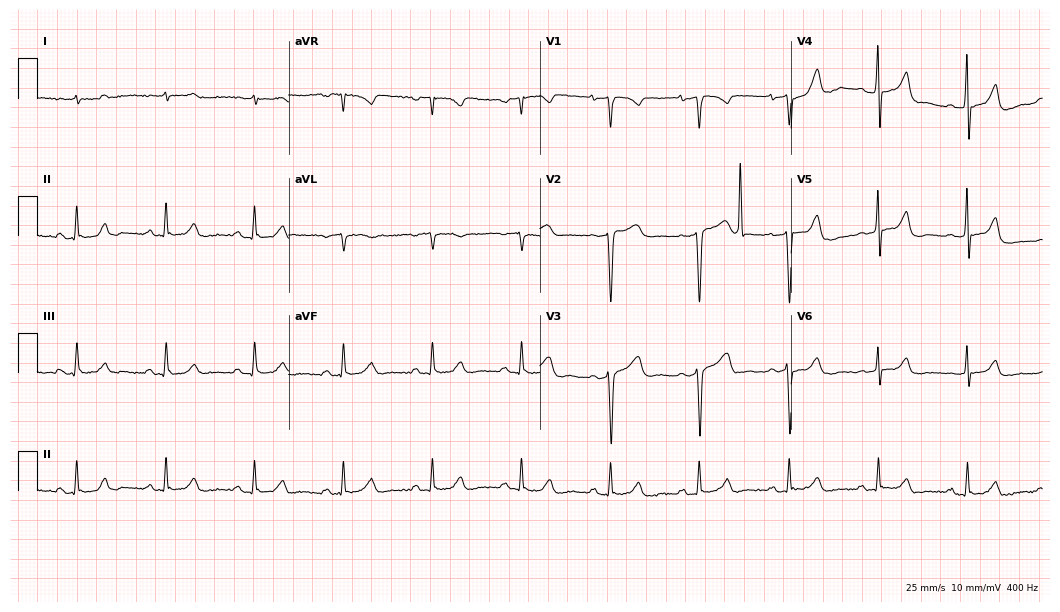
ECG — a male, 66 years old. Labelled as a normal ECG.